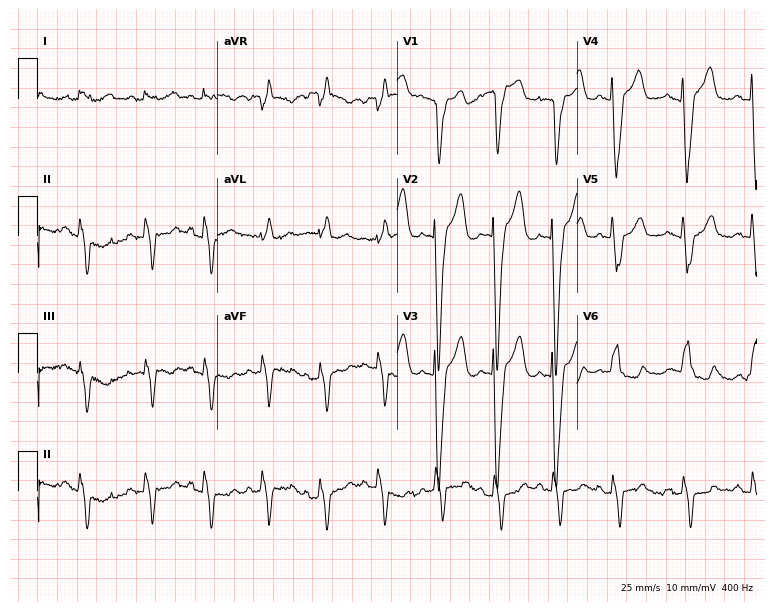
Standard 12-lead ECG recorded from a woman, 83 years old (7.3-second recording at 400 Hz). None of these six findings is recorded: first-degree AV block, right bundle branch block, left bundle branch block, sinus bradycardia, atrial fibrillation, sinus tachycardia.